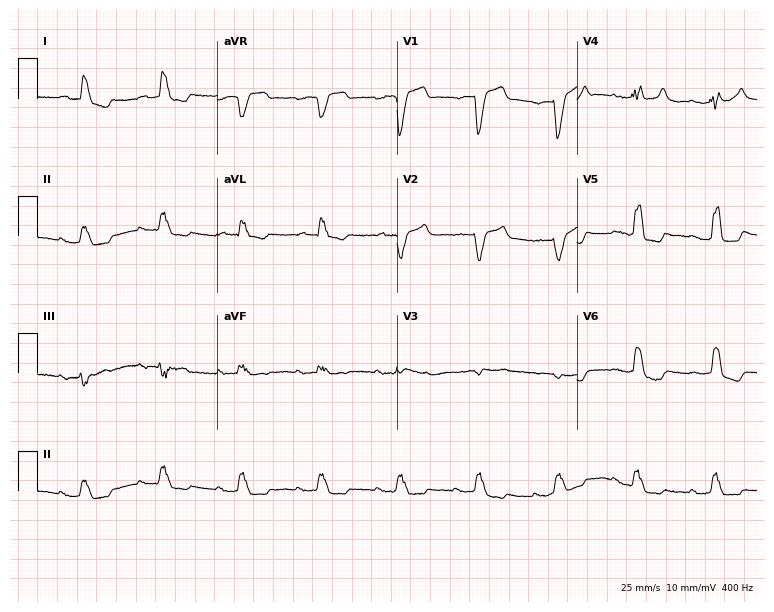
ECG (7.3-second recording at 400 Hz) — a male patient, 84 years old. Findings include left bundle branch block (LBBB).